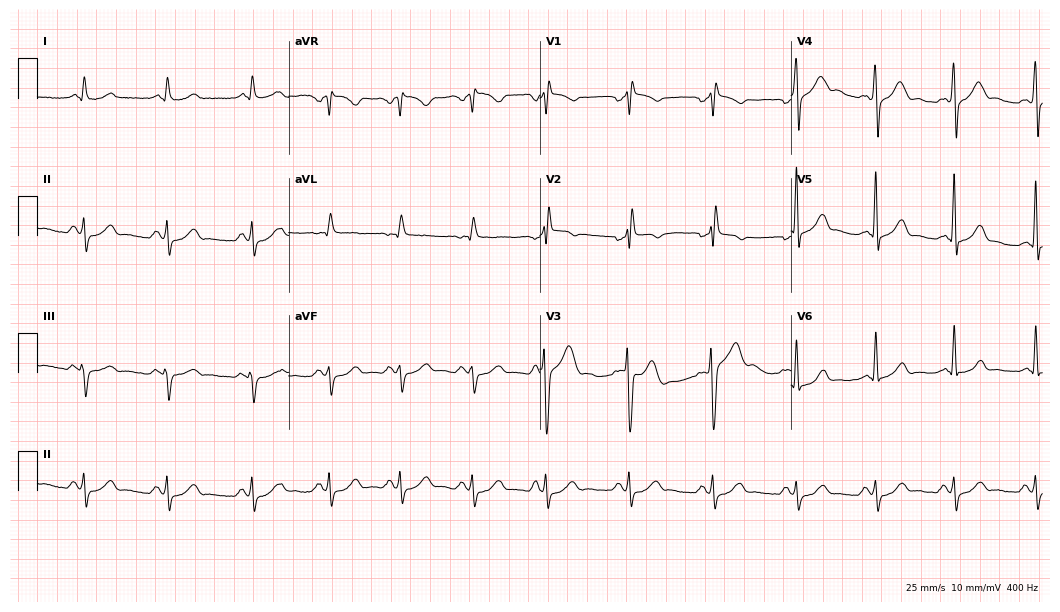
Resting 12-lead electrocardiogram. Patient: a 44-year-old man. None of these six findings is recorded: first-degree AV block, right bundle branch block (RBBB), left bundle branch block (LBBB), sinus bradycardia, atrial fibrillation (AF), sinus tachycardia. Findings outside these six are not listed.